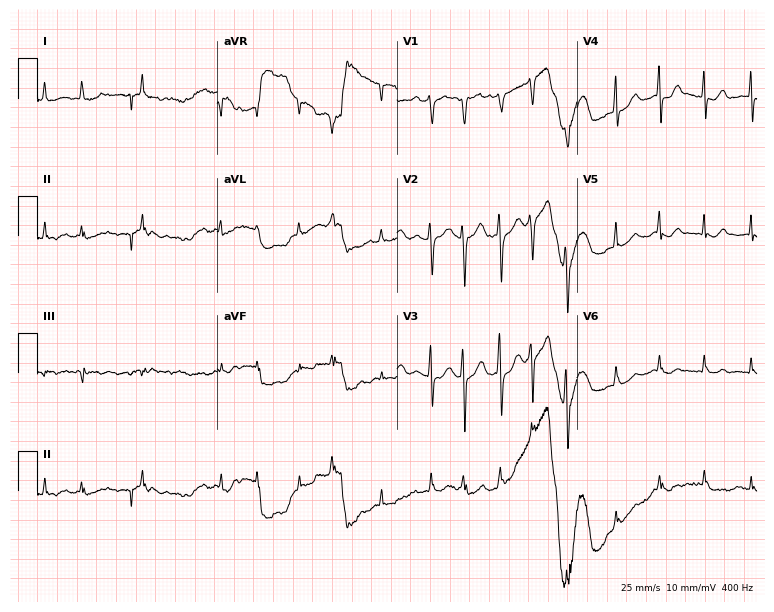
Electrocardiogram, a female patient, 45 years old. Interpretation includes atrial fibrillation.